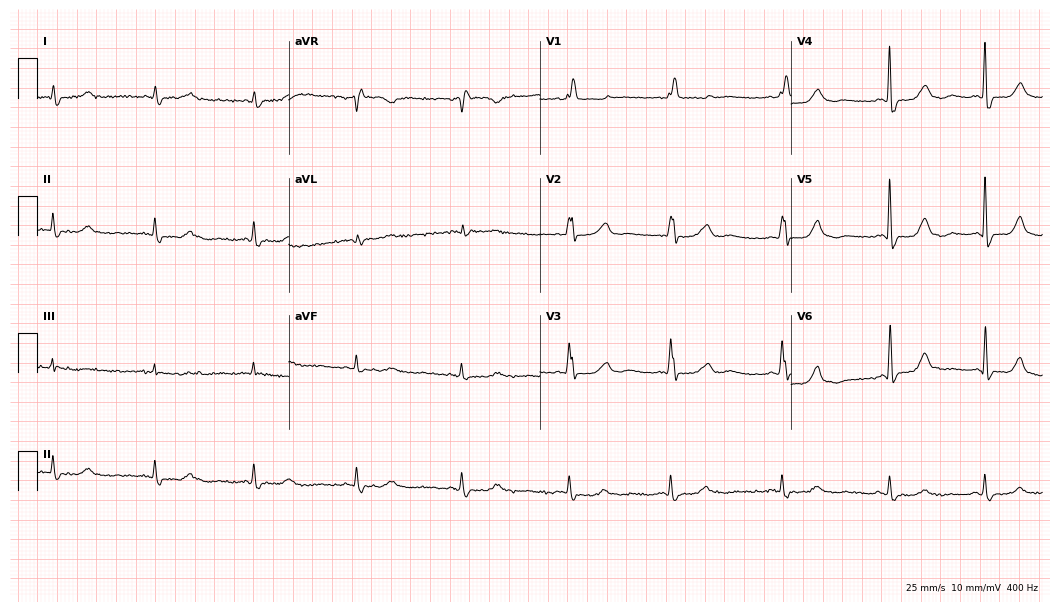
Resting 12-lead electrocardiogram (10.2-second recording at 400 Hz). Patient: a 65-year-old male. The tracing shows right bundle branch block.